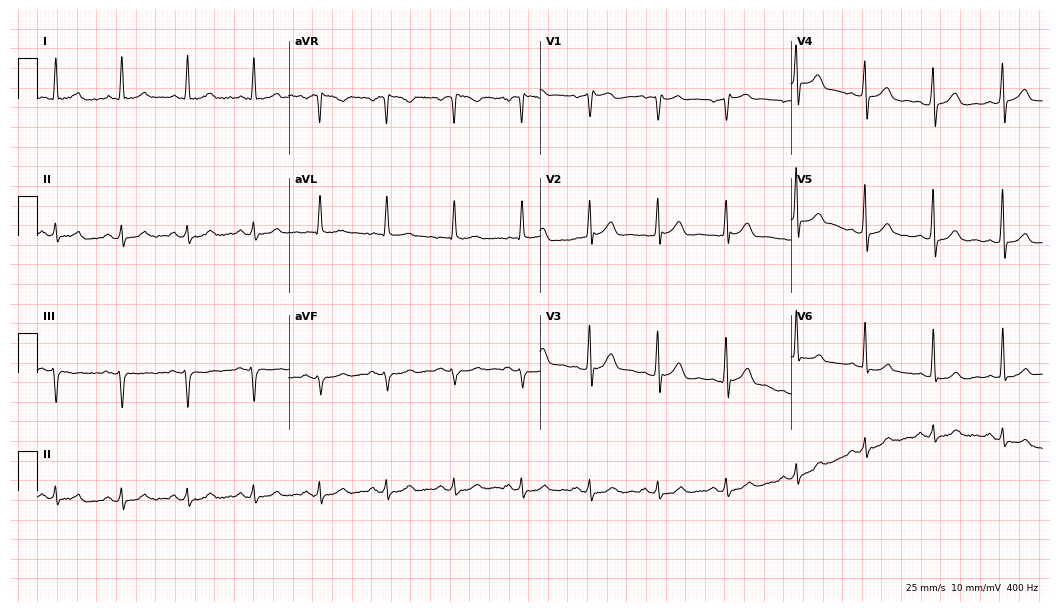
12-lead ECG from a male, 59 years old. Screened for six findings — first-degree AV block, right bundle branch block, left bundle branch block, sinus bradycardia, atrial fibrillation, sinus tachycardia — none is recorded.